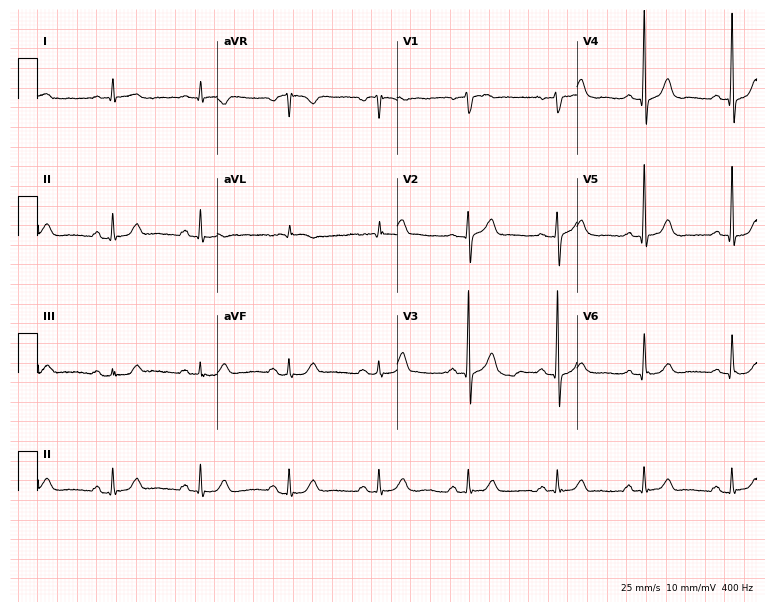
12-lead ECG (7.3-second recording at 400 Hz) from a male, 62 years old. Labelled as a normal ECG.